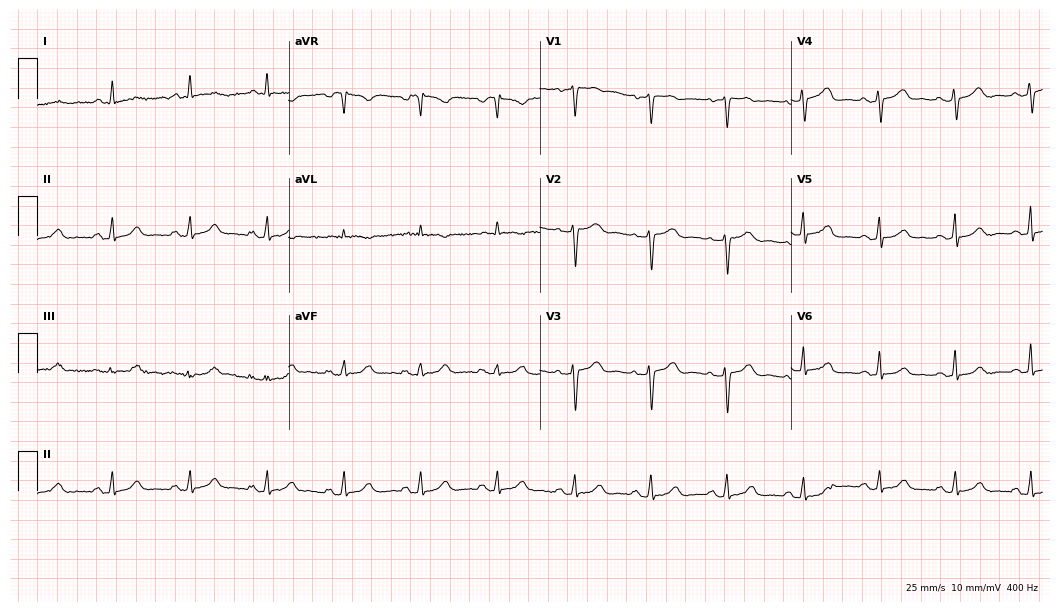
Electrocardiogram (10.2-second recording at 400 Hz), a 66-year-old woman. Of the six screened findings (first-degree AV block, right bundle branch block (RBBB), left bundle branch block (LBBB), sinus bradycardia, atrial fibrillation (AF), sinus tachycardia), none is recorded. Only these six findings were labelled.